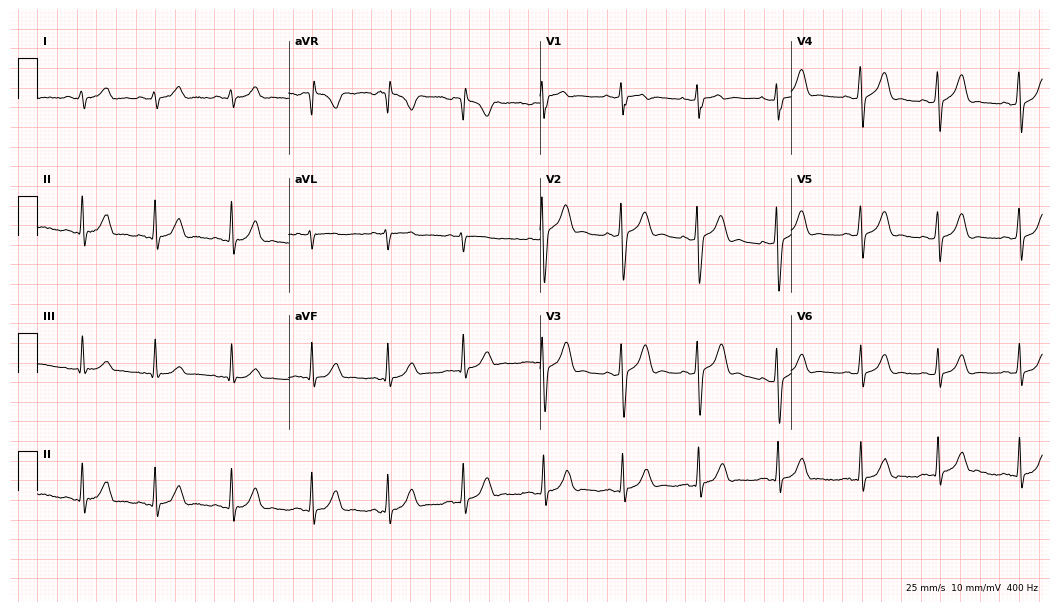
Electrocardiogram, a 23-year-old woman. Overall reading on record: normal ECG.